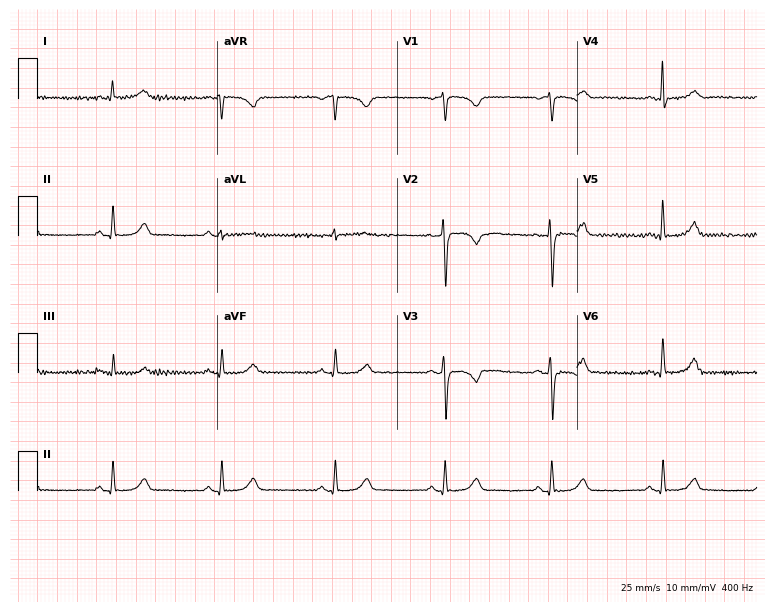
Electrocardiogram (7.3-second recording at 400 Hz), a 43-year-old female patient. Of the six screened findings (first-degree AV block, right bundle branch block, left bundle branch block, sinus bradycardia, atrial fibrillation, sinus tachycardia), none is recorded. Findings outside these six are not listed.